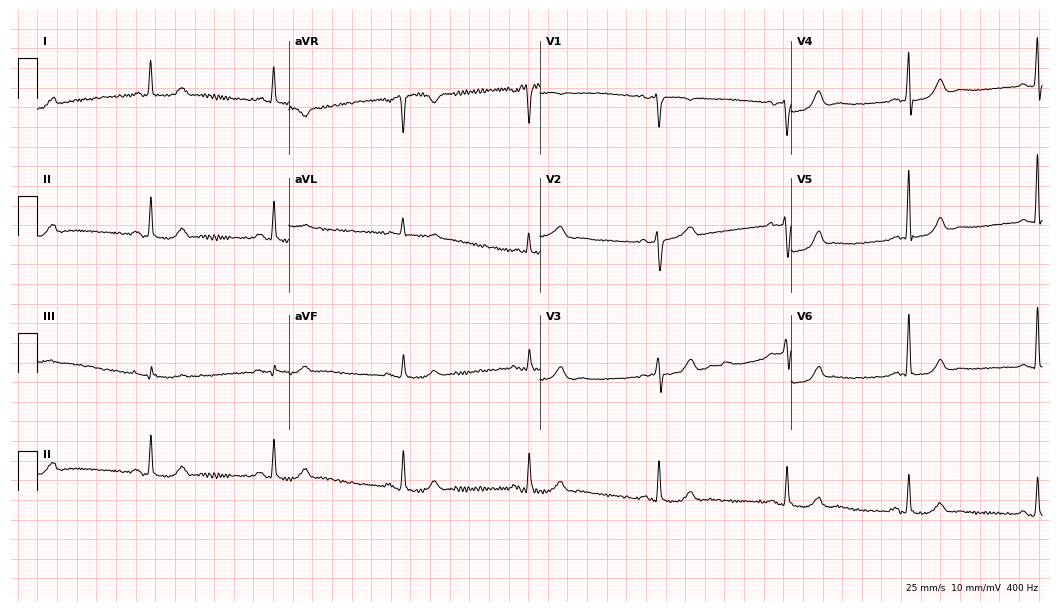
Standard 12-lead ECG recorded from a 61-year-old female (10.2-second recording at 400 Hz). The tracing shows sinus bradycardia (a sinus rate of 50 beats per minute or less).